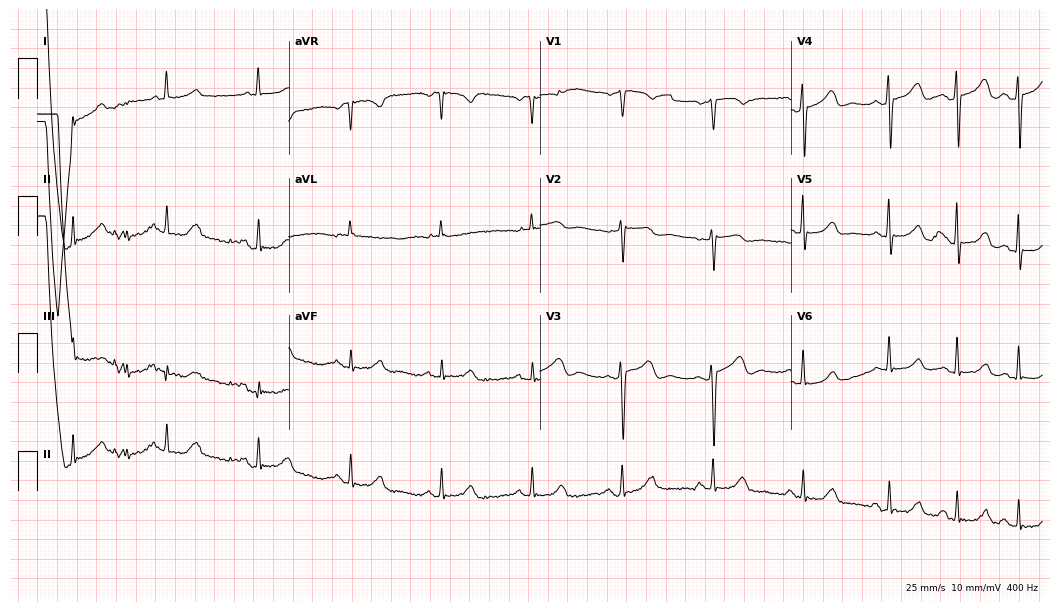
Resting 12-lead electrocardiogram (10.2-second recording at 400 Hz). Patient: a 77-year-old woman. None of these six findings is recorded: first-degree AV block, right bundle branch block, left bundle branch block, sinus bradycardia, atrial fibrillation, sinus tachycardia. Only these six findings were labelled.